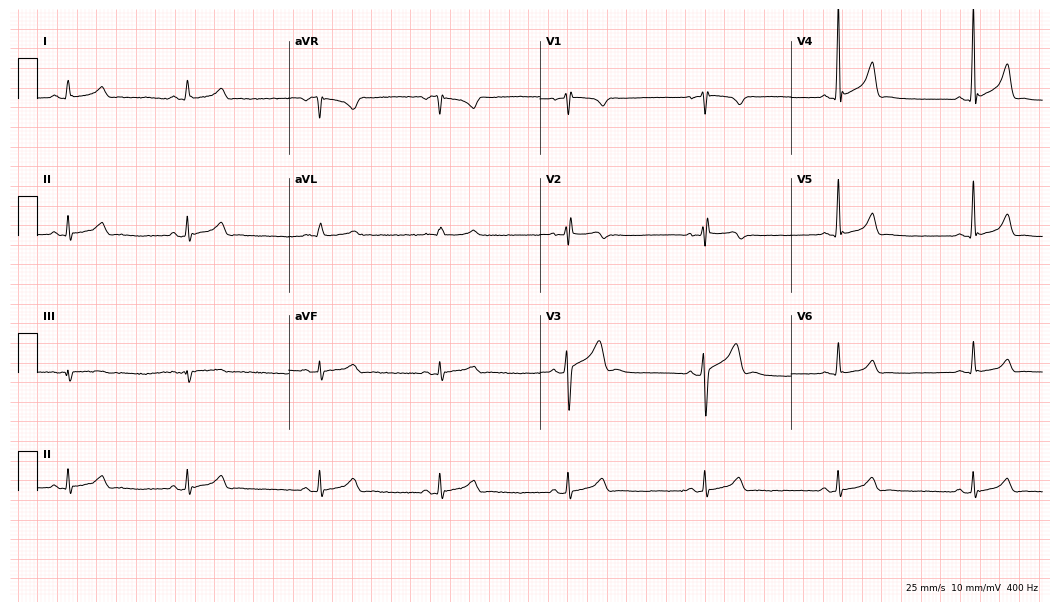
12-lead ECG (10.2-second recording at 400 Hz) from a man, 24 years old. Screened for six findings — first-degree AV block, right bundle branch block (RBBB), left bundle branch block (LBBB), sinus bradycardia, atrial fibrillation (AF), sinus tachycardia — none is recorded. Only these six findings were labelled.